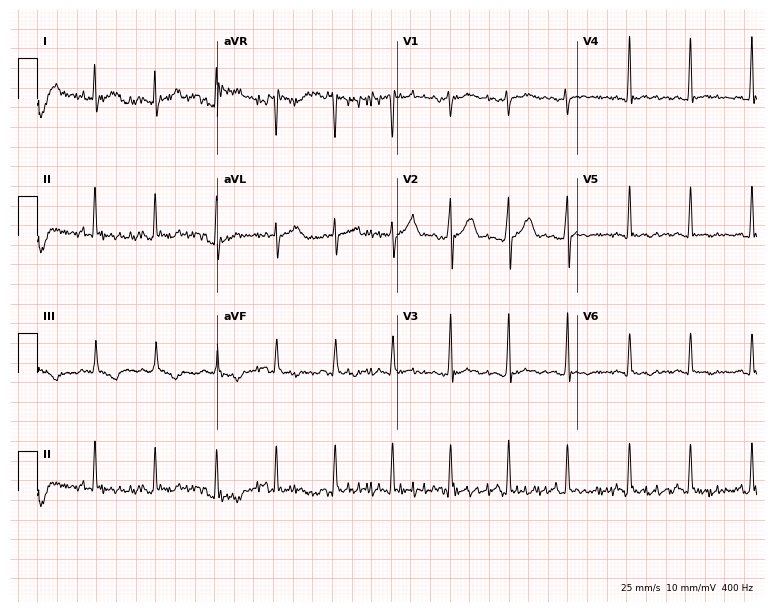
12-lead ECG from a male, 32 years old. No first-degree AV block, right bundle branch block, left bundle branch block, sinus bradycardia, atrial fibrillation or sinus tachycardia recorded for this tracing.